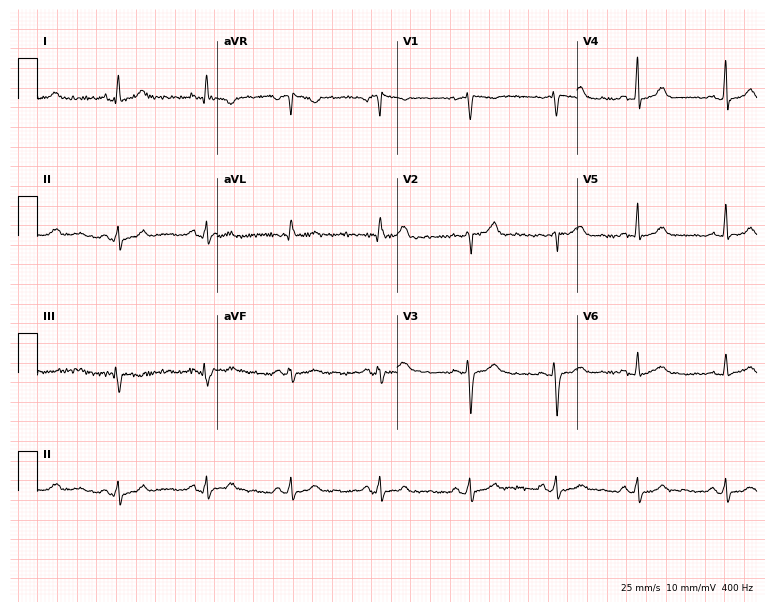
ECG — a female patient, 32 years old. Screened for six findings — first-degree AV block, right bundle branch block (RBBB), left bundle branch block (LBBB), sinus bradycardia, atrial fibrillation (AF), sinus tachycardia — none is recorded.